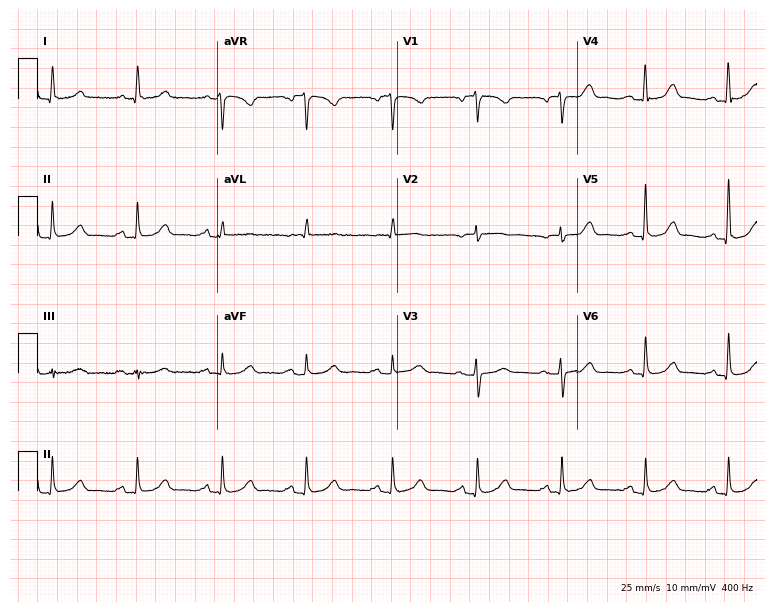
Standard 12-lead ECG recorded from a female patient, 74 years old. None of these six findings is recorded: first-degree AV block, right bundle branch block (RBBB), left bundle branch block (LBBB), sinus bradycardia, atrial fibrillation (AF), sinus tachycardia.